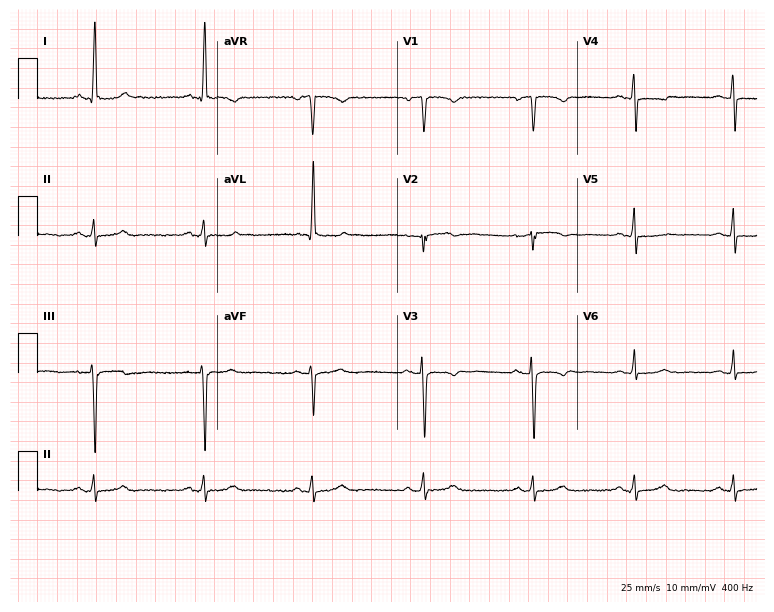
Electrocardiogram, a 58-year-old female patient. Of the six screened findings (first-degree AV block, right bundle branch block (RBBB), left bundle branch block (LBBB), sinus bradycardia, atrial fibrillation (AF), sinus tachycardia), none is recorded. Only these six findings were labelled.